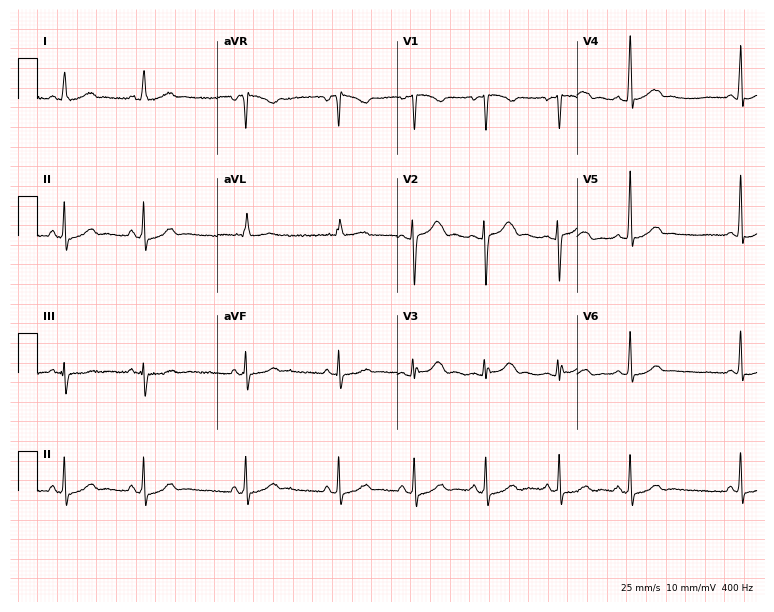
Electrocardiogram (7.3-second recording at 400 Hz), a 21-year-old woman. Of the six screened findings (first-degree AV block, right bundle branch block, left bundle branch block, sinus bradycardia, atrial fibrillation, sinus tachycardia), none is recorded.